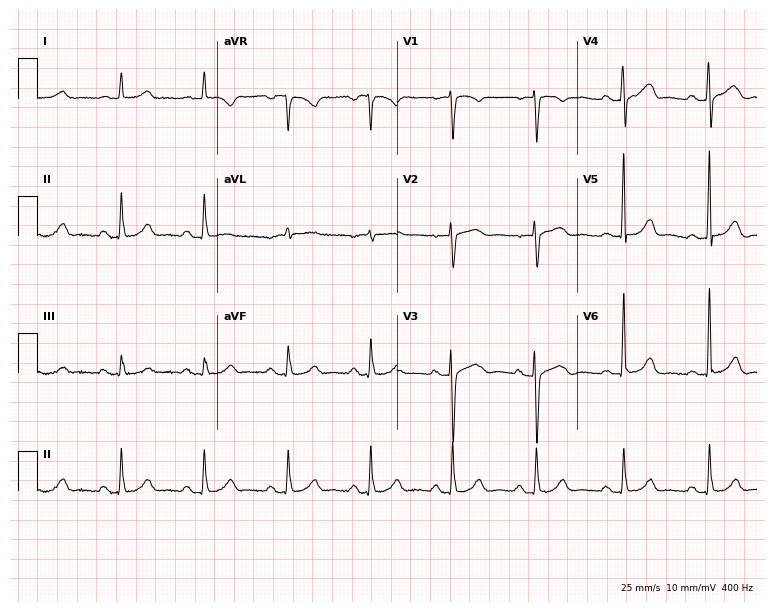
Standard 12-lead ECG recorded from a 71-year-old female patient (7.3-second recording at 400 Hz). Read as a normal ECG.